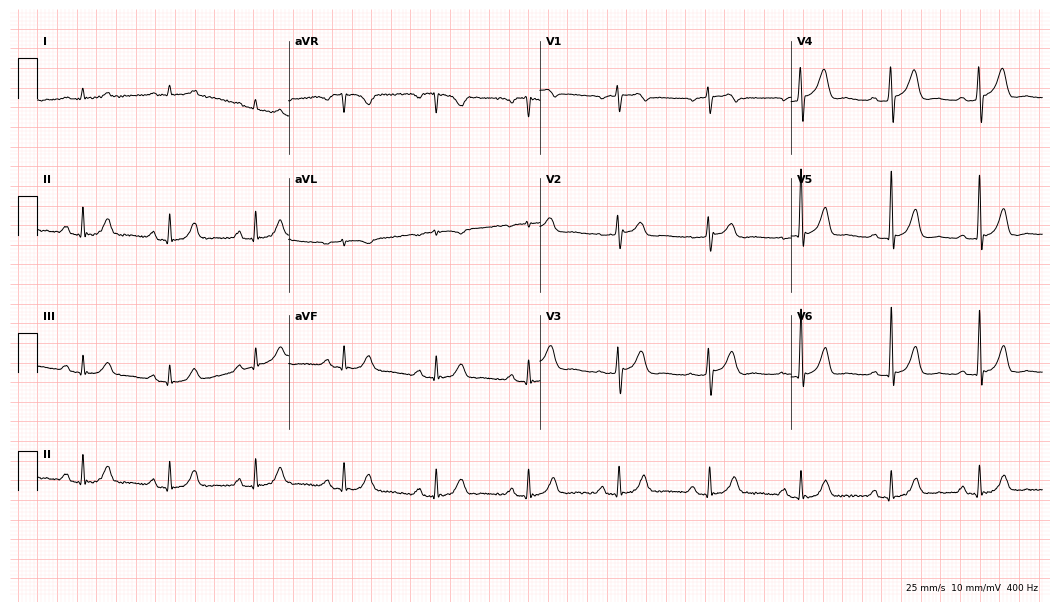
ECG (10.2-second recording at 400 Hz) — a 75-year-old male. Screened for six findings — first-degree AV block, right bundle branch block, left bundle branch block, sinus bradycardia, atrial fibrillation, sinus tachycardia — none is recorded.